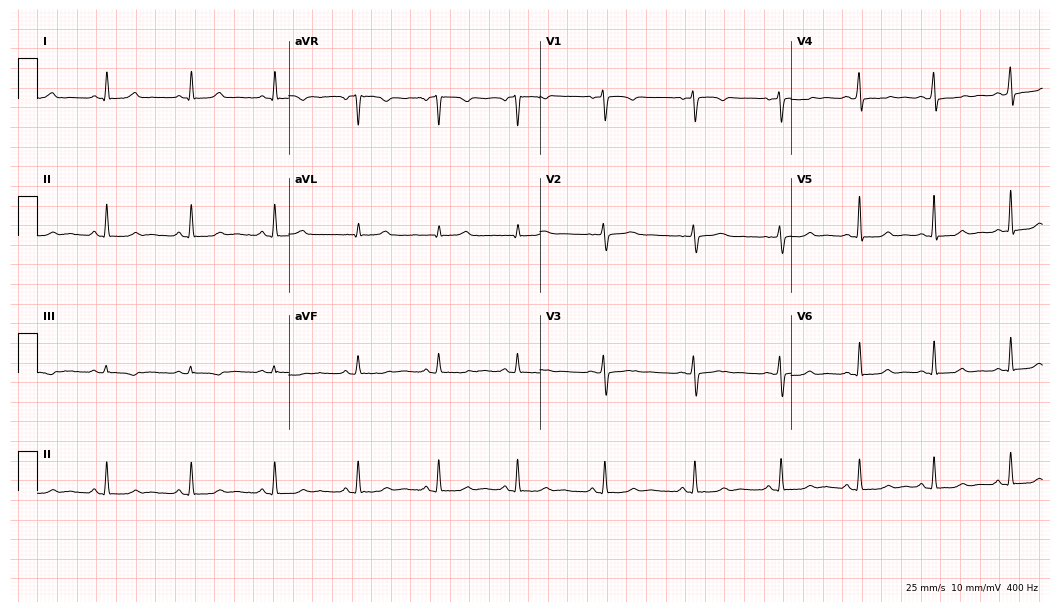
Standard 12-lead ECG recorded from a female patient, 46 years old. None of these six findings is recorded: first-degree AV block, right bundle branch block, left bundle branch block, sinus bradycardia, atrial fibrillation, sinus tachycardia.